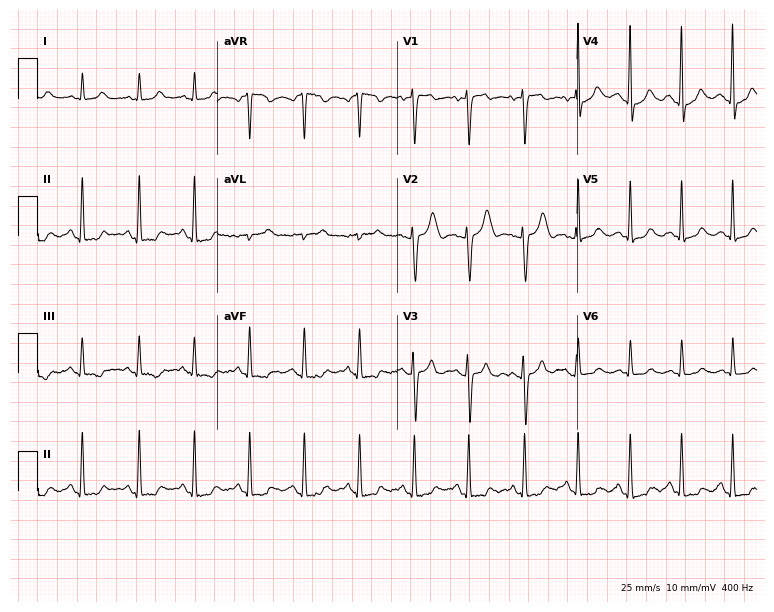
12-lead ECG from a female, 31 years old. Shows sinus tachycardia (a sinus rate of 100 beats per minute or more).